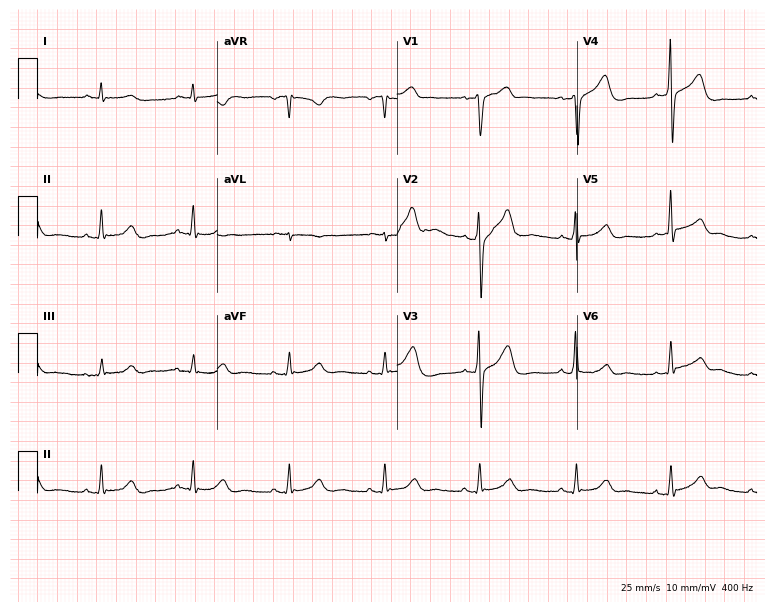
Standard 12-lead ECG recorded from a male, 72 years old. Read as a normal ECG.